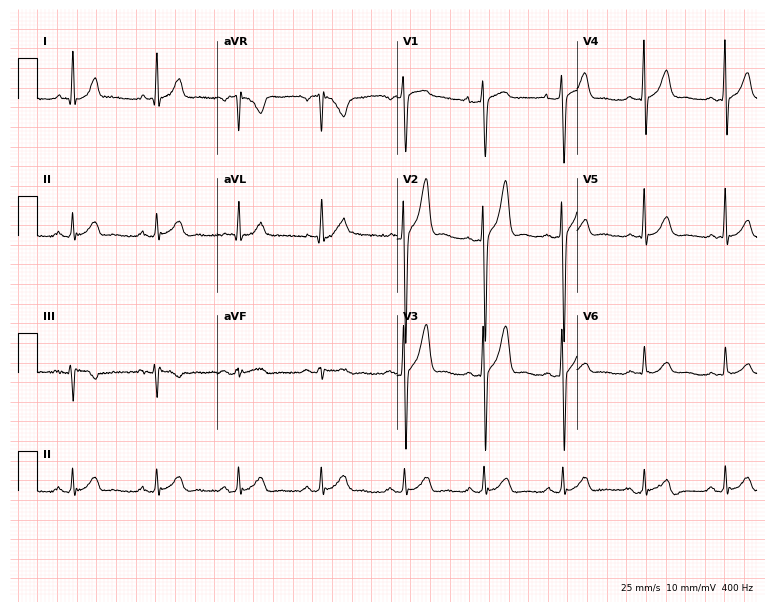
12-lead ECG from a 30-year-old man (7.3-second recording at 400 Hz). Recorded interpretation: within normal limits.